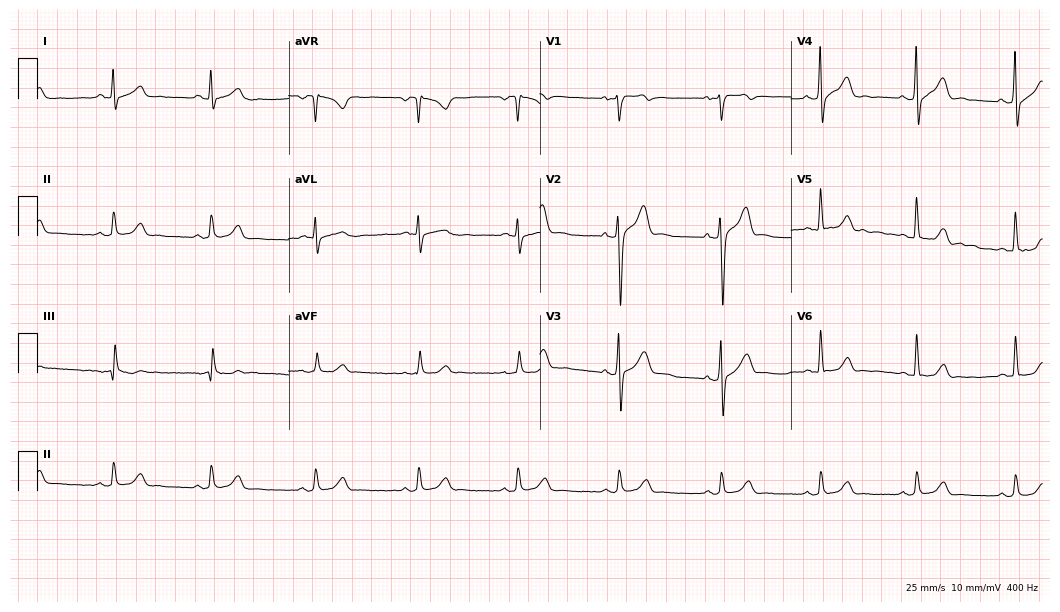
12-lead ECG from a 37-year-old male patient (10.2-second recording at 400 Hz). Recorded interpretation: within normal limits.